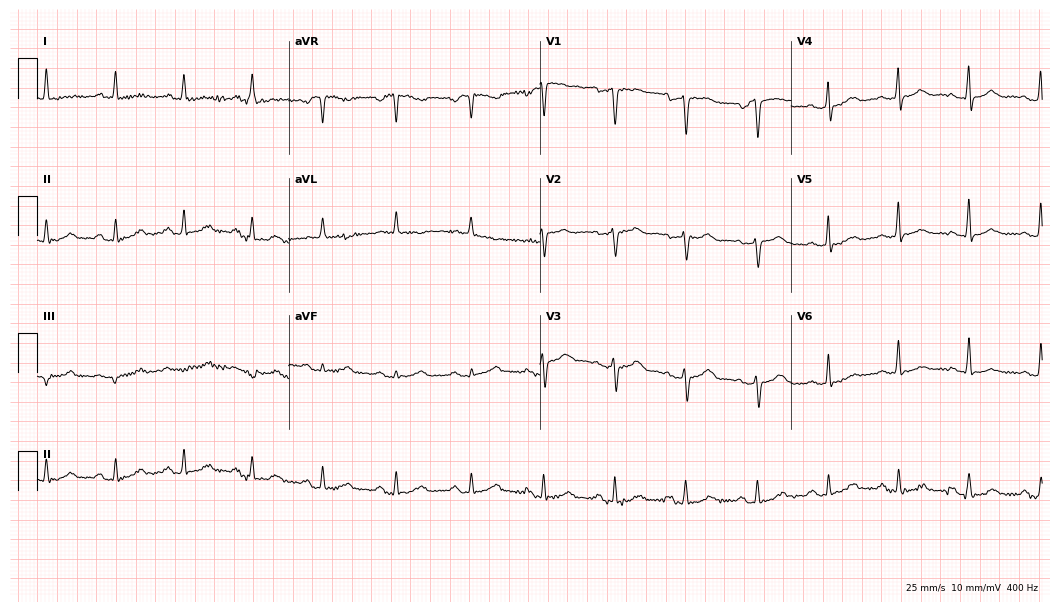
Standard 12-lead ECG recorded from a female patient, 56 years old. Read as a normal ECG.